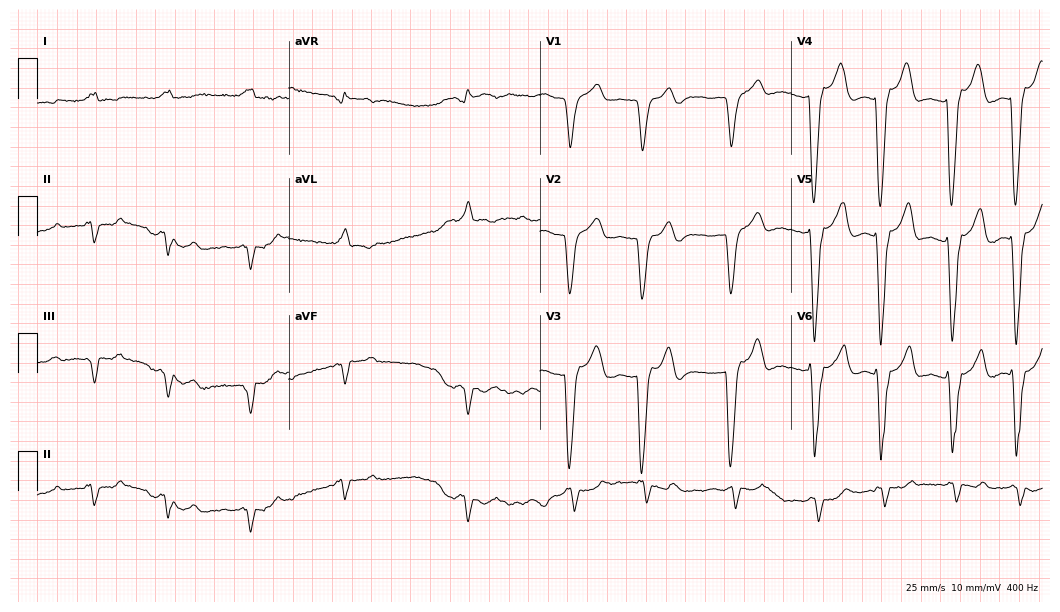
12-lead ECG from a man, 85 years old. Shows left bundle branch block (LBBB), atrial fibrillation (AF).